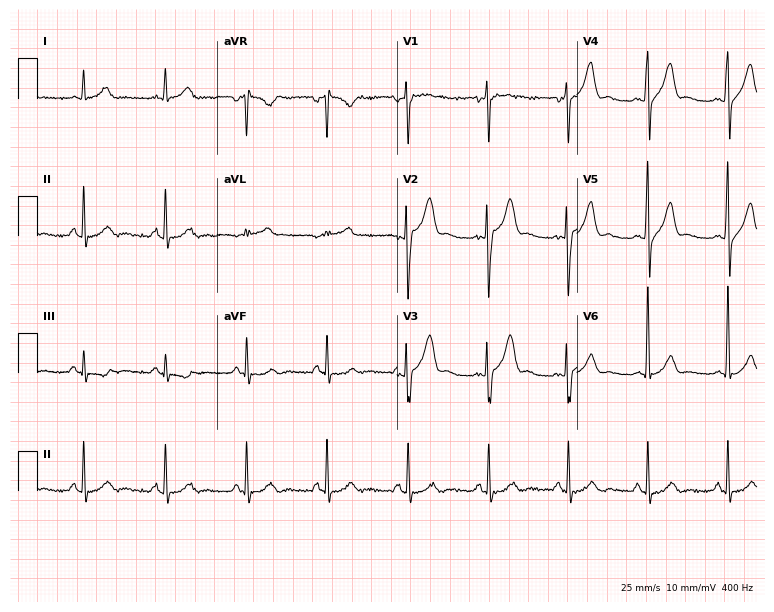
ECG (7.3-second recording at 400 Hz) — a 43-year-old male patient. Screened for six findings — first-degree AV block, right bundle branch block, left bundle branch block, sinus bradycardia, atrial fibrillation, sinus tachycardia — none is recorded.